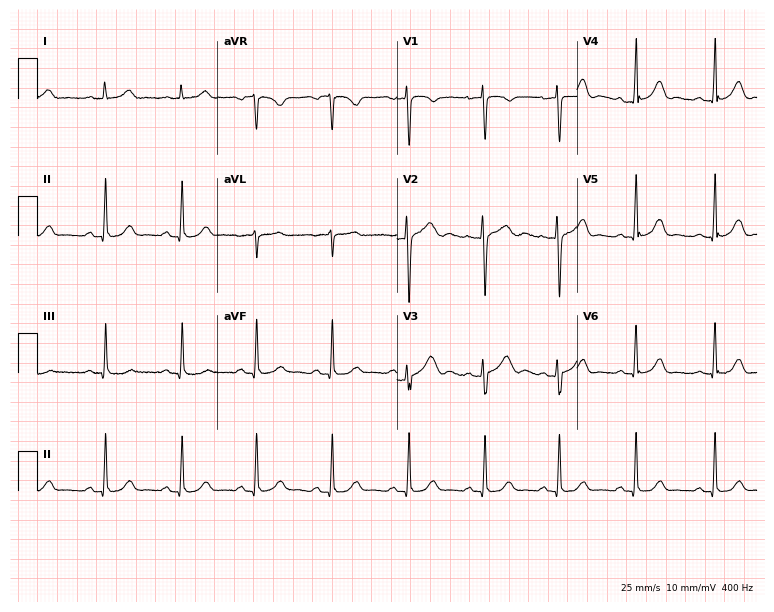
ECG — a female, 28 years old. Screened for six findings — first-degree AV block, right bundle branch block (RBBB), left bundle branch block (LBBB), sinus bradycardia, atrial fibrillation (AF), sinus tachycardia — none is recorded.